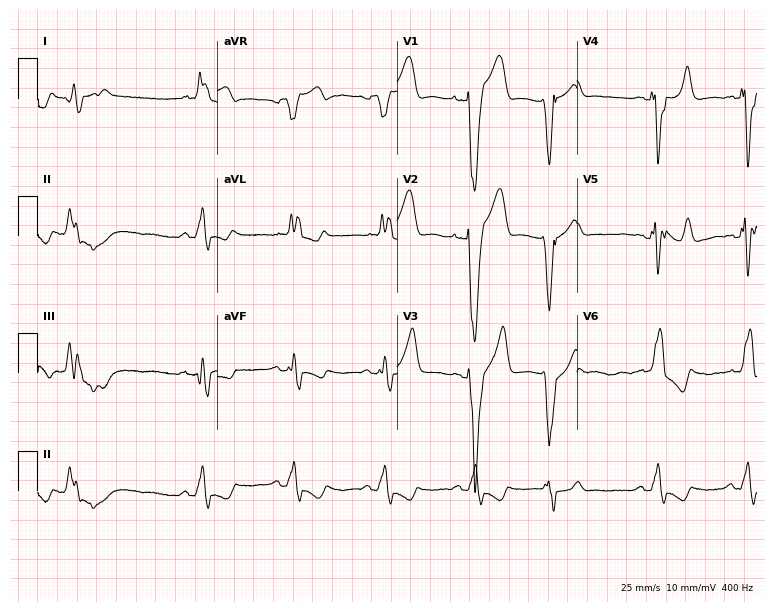
Resting 12-lead electrocardiogram. Patient: a male, 83 years old. The tracing shows left bundle branch block.